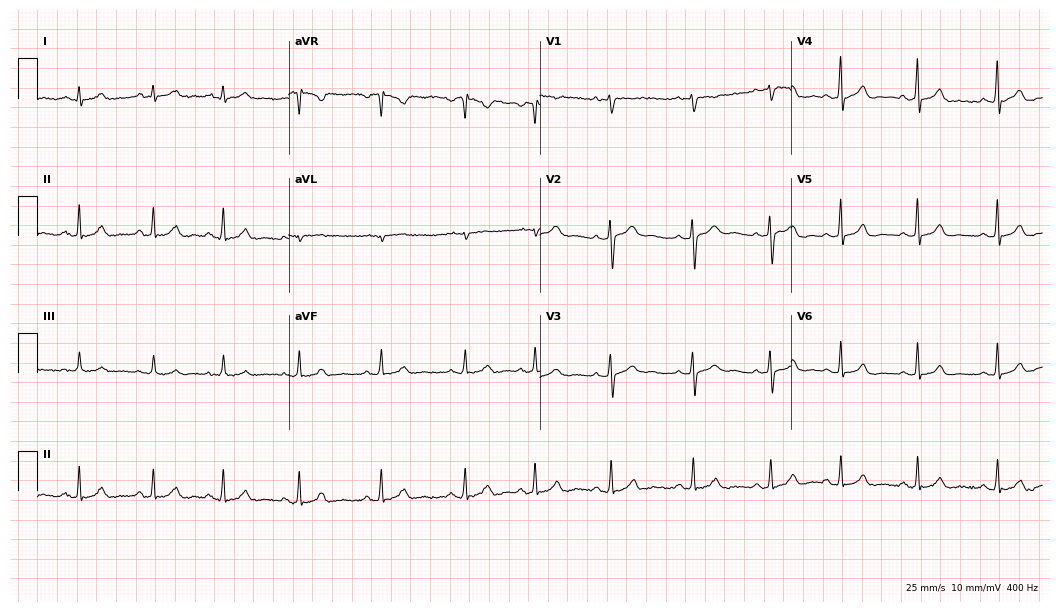
12-lead ECG from a 22-year-old female patient. Recorded interpretation: within normal limits.